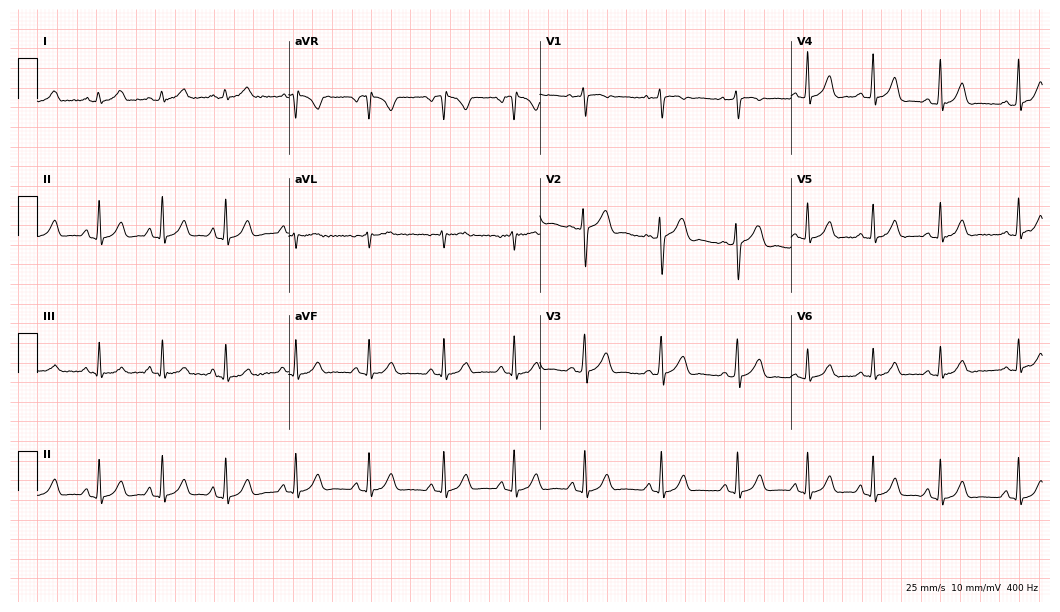
12-lead ECG from a female patient, 20 years old. Recorded interpretation: within normal limits.